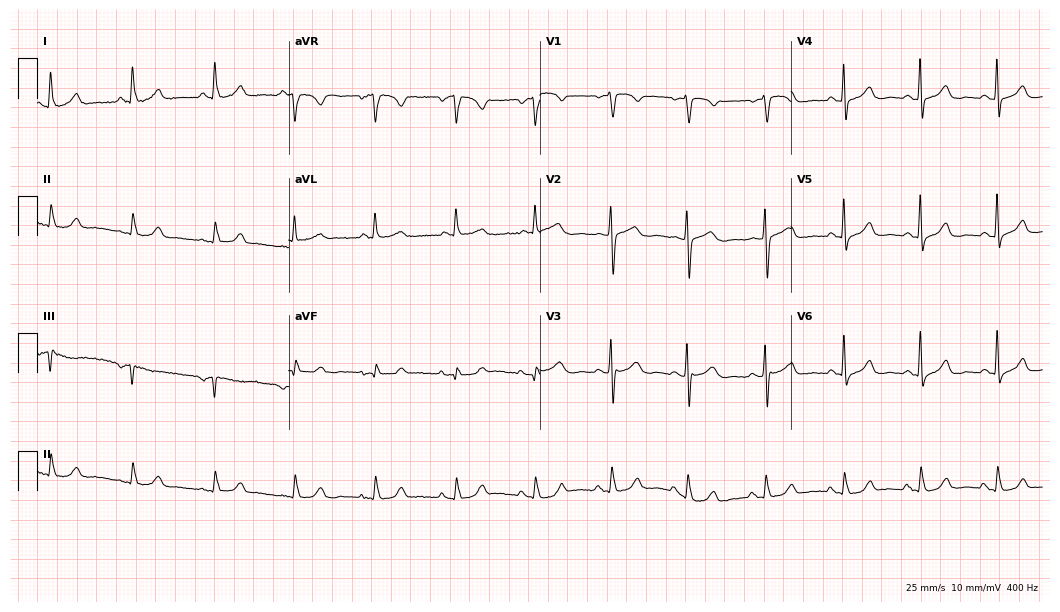
12-lead ECG (10.2-second recording at 400 Hz) from a woman, 67 years old. Labelled as a normal ECG.